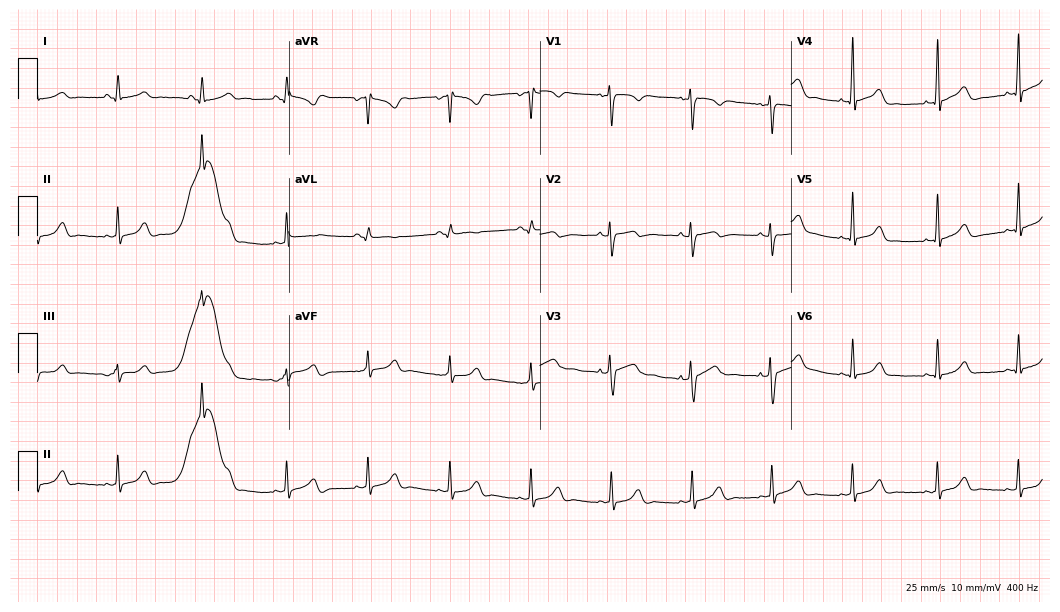
12-lead ECG from a 30-year-old female patient. Labelled as a normal ECG.